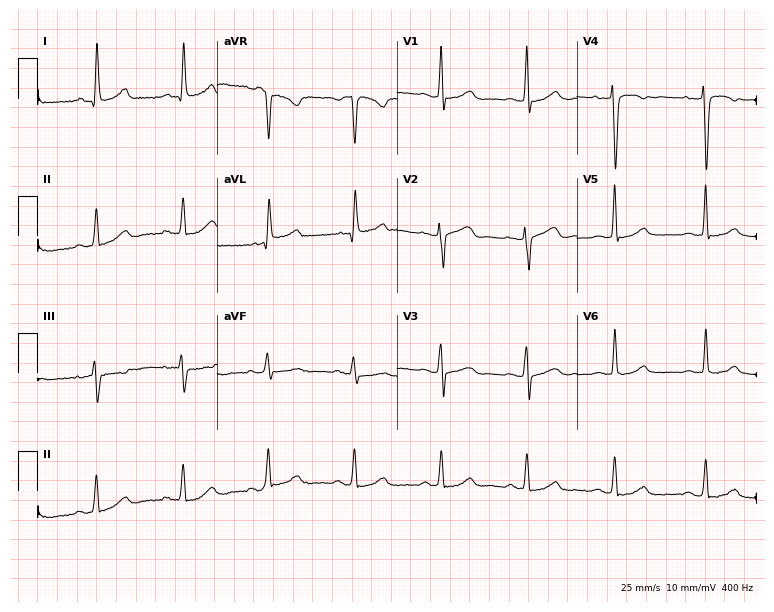
ECG (7.3-second recording at 400 Hz) — a 57-year-old woman. Screened for six findings — first-degree AV block, right bundle branch block, left bundle branch block, sinus bradycardia, atrial fibrillation, sinus tachycardia — none is recorded.